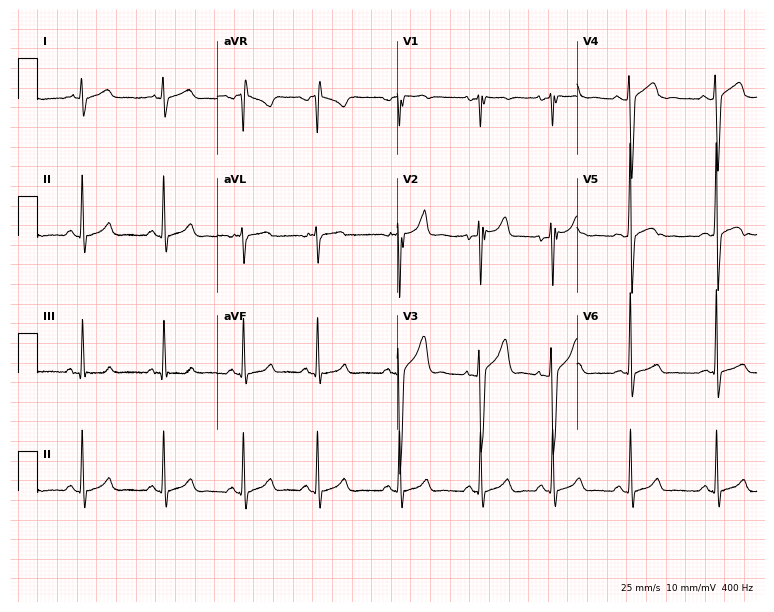
12-lead ECG from a 21-year-old man. Labelled as a normal ECG.